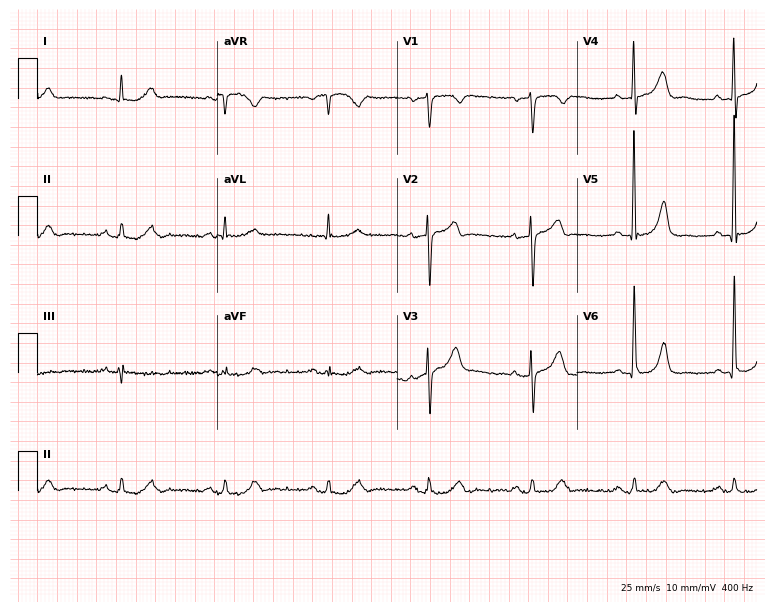
12-lead ECG from a male, 76 years old (7.3-second recording at 400 Hz). No first-degree AV block, right bundle branch block, left bundle branch block, sinus bradycardia, atrial fibrillation or sinus tachycardia recorded for this tracing. Other findings, if any, are not listed.